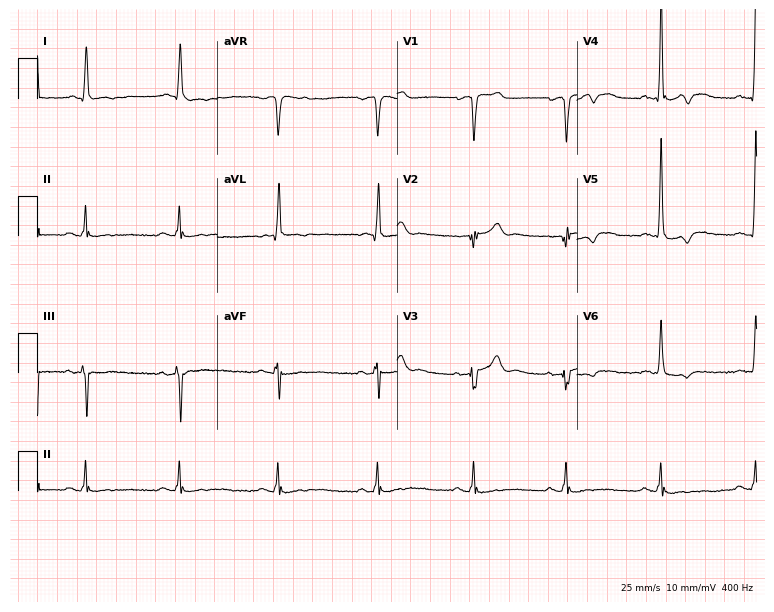
ECG — a 60-year-old man. Screened for six findings — first-degree AV block, right bundle branch block, left bundle branch block, sinus bradycardia, atrial fibrillation, sinus tachycardia — none is recorded.